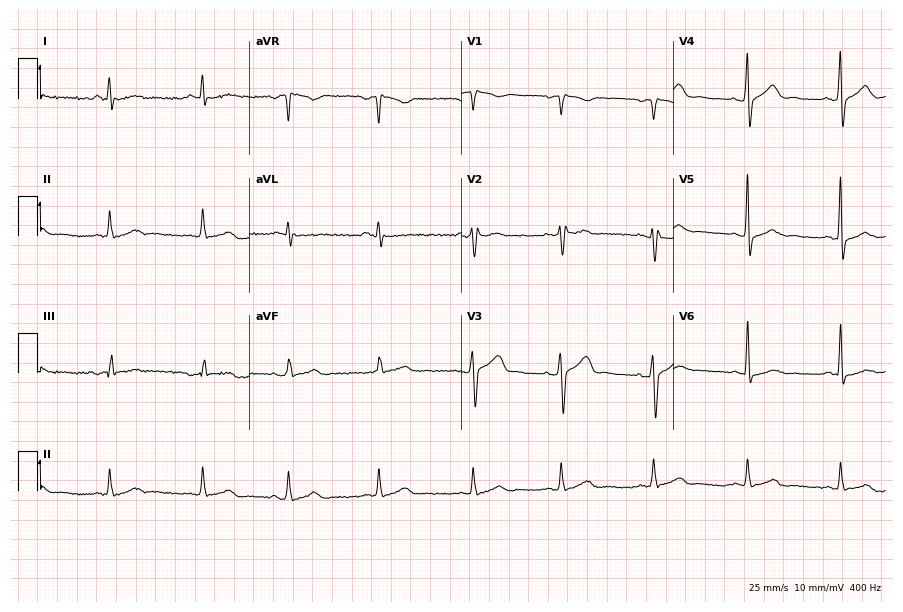
12-lead ECG from a man, 44 years old. Screened for six findings — first-degree AV block, right bundle branch block, left bundle branch block, sinus bradycardia, atrial fibrillation, sinus tachycardia — none is recorded.